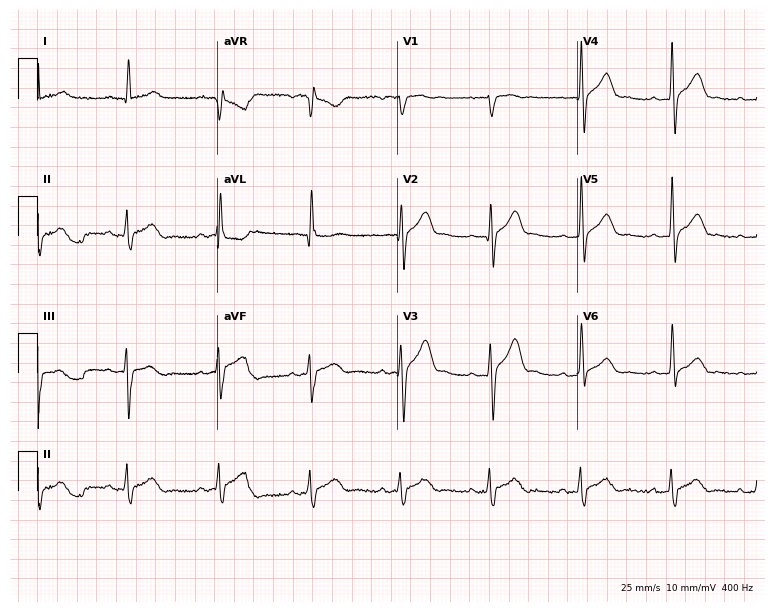
Standard 12-lead ECG recorded from a 37-year-old male (7.3-second recording at 400 Hz). Read as a normal ECG.